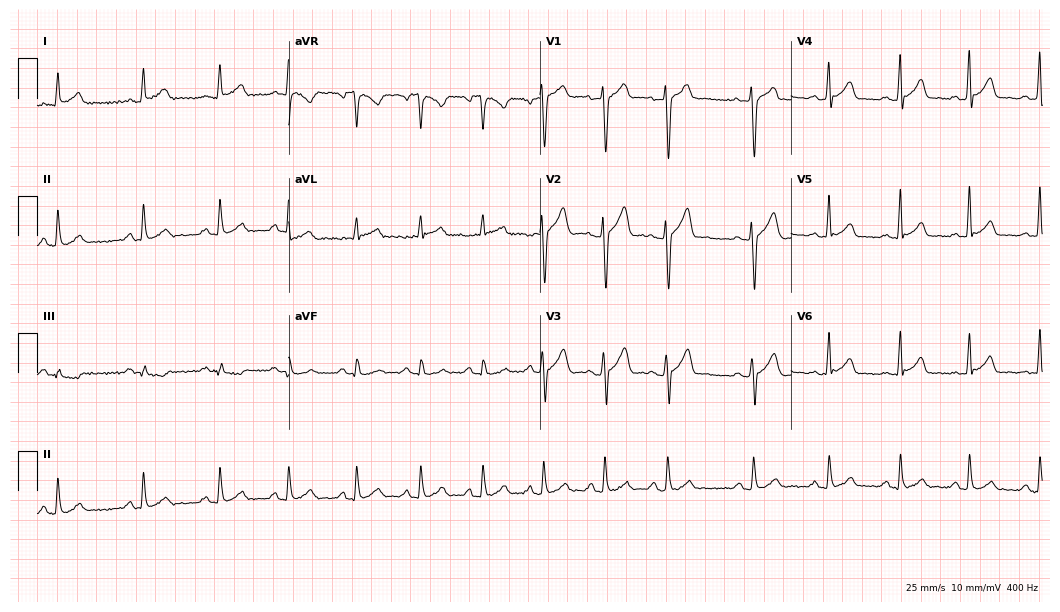
Standard 12-lead ECG recorded from a 24-year-old man (10.2-second recording at 400 Hz). Read as a normal ECG.